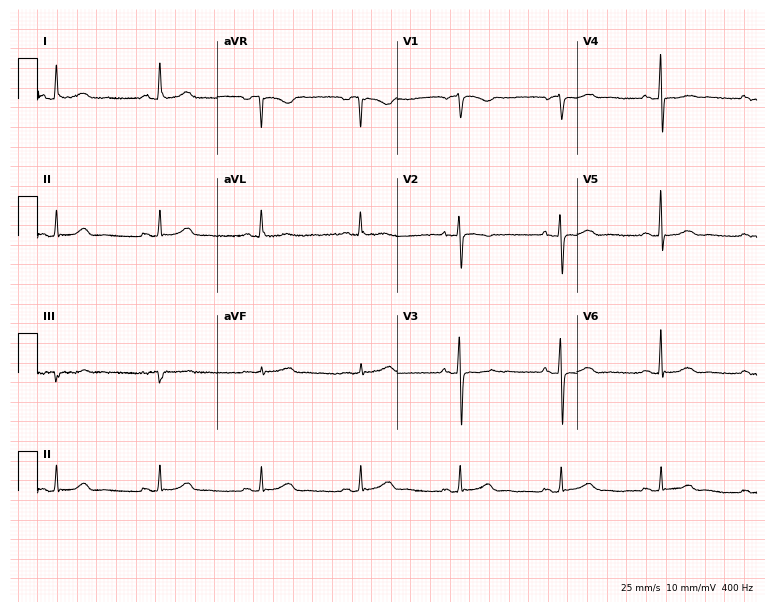
Standard 12-lead ECG recorded from a woman, 70 years old (7.3-second recording at 400 Hz). Read as a normal ECG.